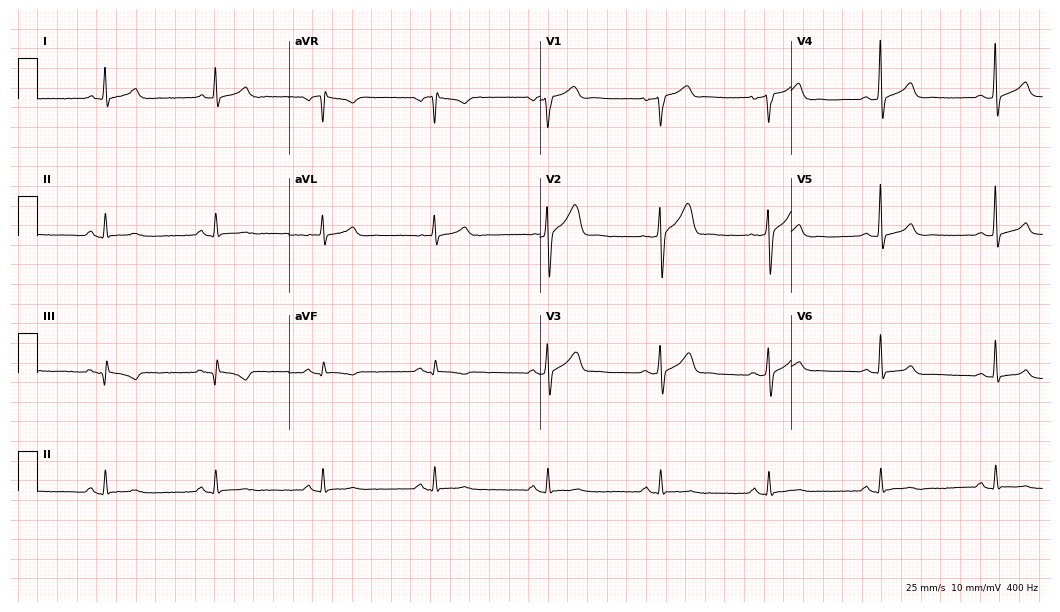
ECG (10.2-second recording at 400 Hz) — a 56-year-old man. Labelled as a normal ECG.